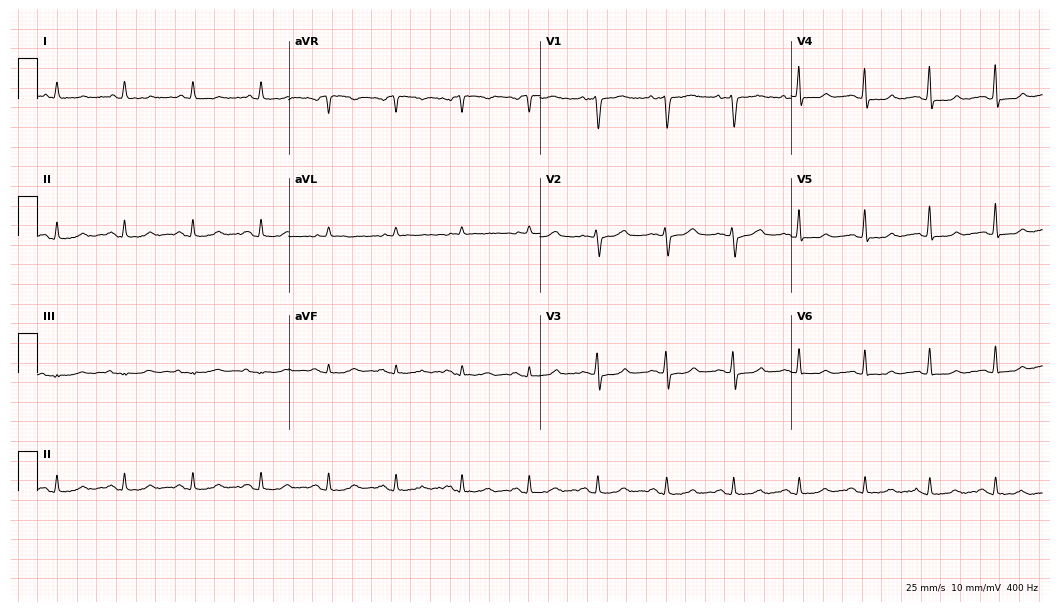
Resting 12-lead electrocardiogram (10.2-second recording at 400 Hz). Patient: a 58-year-old female. None of these six findings is recorded: first-degree AV block, right bundle branch block (RBBB), left bundle branch block (LBBB), sinus bradycardia, atrial fibrillation (AF), sinus tachycardia.